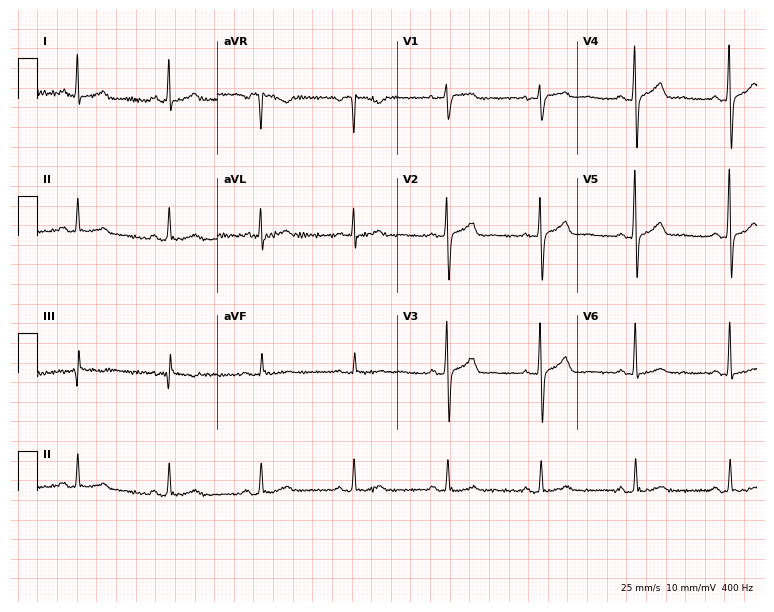
Resting 12-lead electrocardiogram (7.3-second recording at 400 Hz). Patient: a man, 61 years old. Read as a normal ECG.